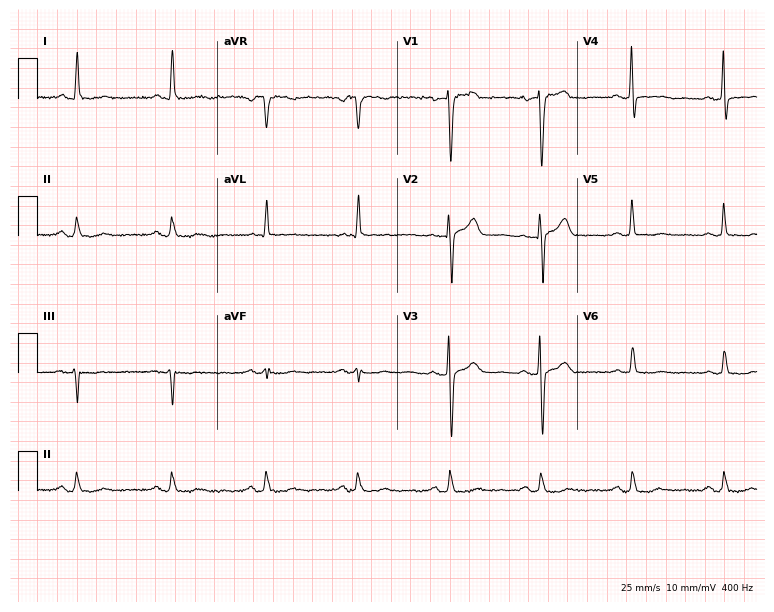
Standard 12-lead ECG recorded from a man, 75 years old (7.3-second recording at 400 Hz). None of these six findings is recorded: first-degree AV block, right bundle branch block, left bundle branch block, sinus bradycardia, atrial fibrillation, sinus tachycardia.